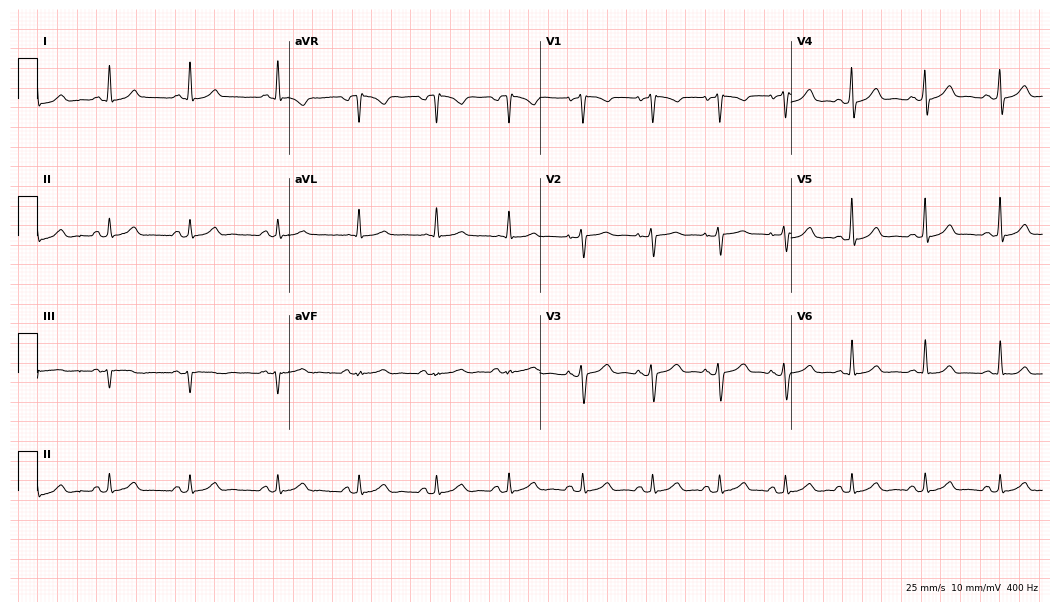
Resting 12-lead electrocardiogram. Patient: a woman, 44 years old. Read as a normal ECG.